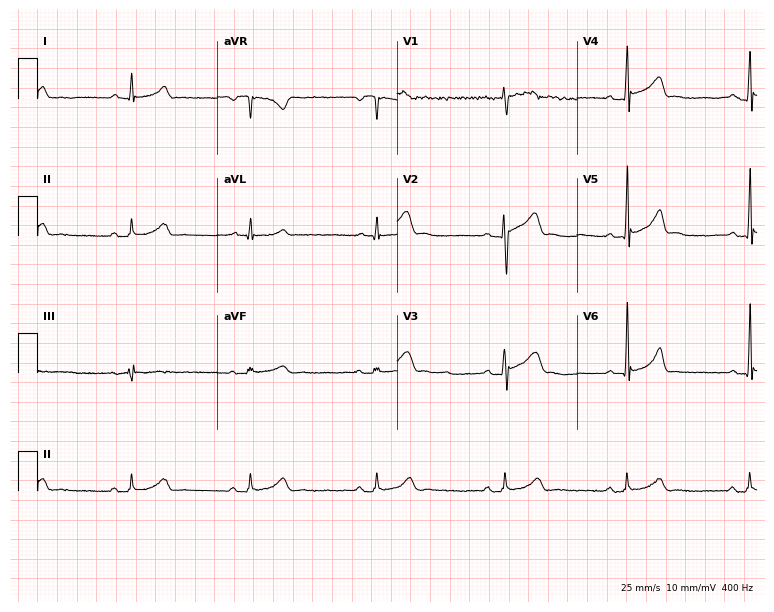
Standard 12-lead ECG recorded from a woman, 30 years old (7.3-second recording at 400 Hz). The tracing shows sinus bradycardia (a sinus rate of 50 beats per minute or less).